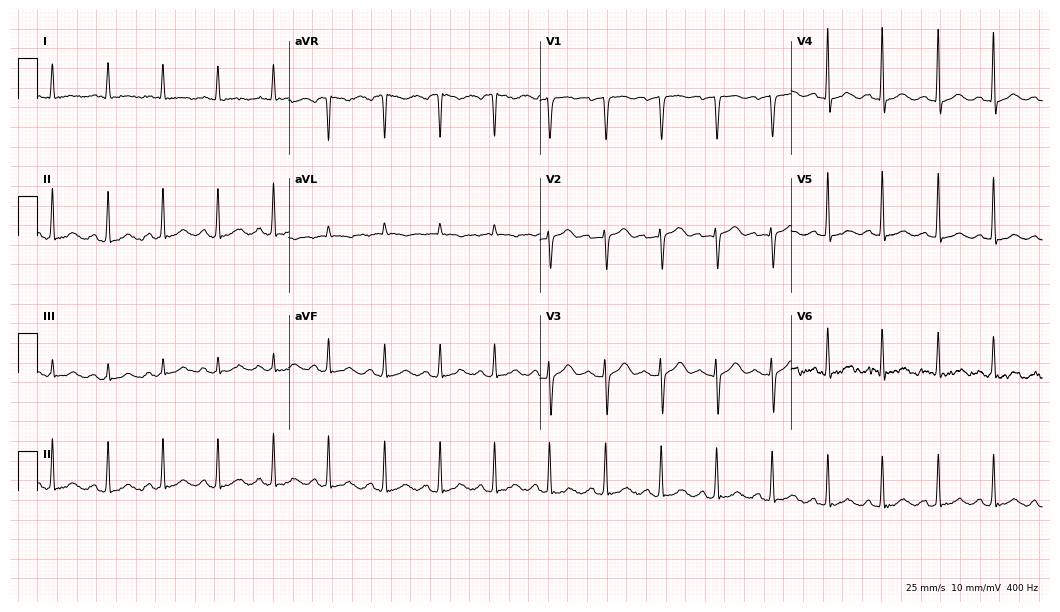
Resting 12-lead electrocardiogram (10.2-second recording at 400 Hz). Patient: a woman, 85 years old. The tracing shows sinus tachycardia (a sinus rate of 100 beats per minute or more).